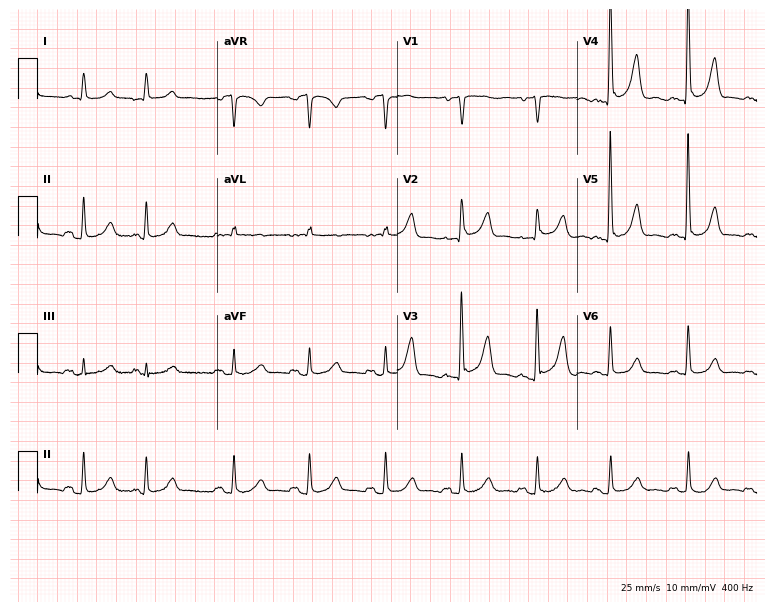
ECG (7.3-second recording at 400 Hz) — a female, 57 years old. Screened for six findings — first-degree AV block, right bundle branch block (RBBB), left bundle branch block (LBBB), sinus bradycardia, atrial fibrillation (AF), sinus tachycardia — none is recorded. Other findings, if any, are not listed.